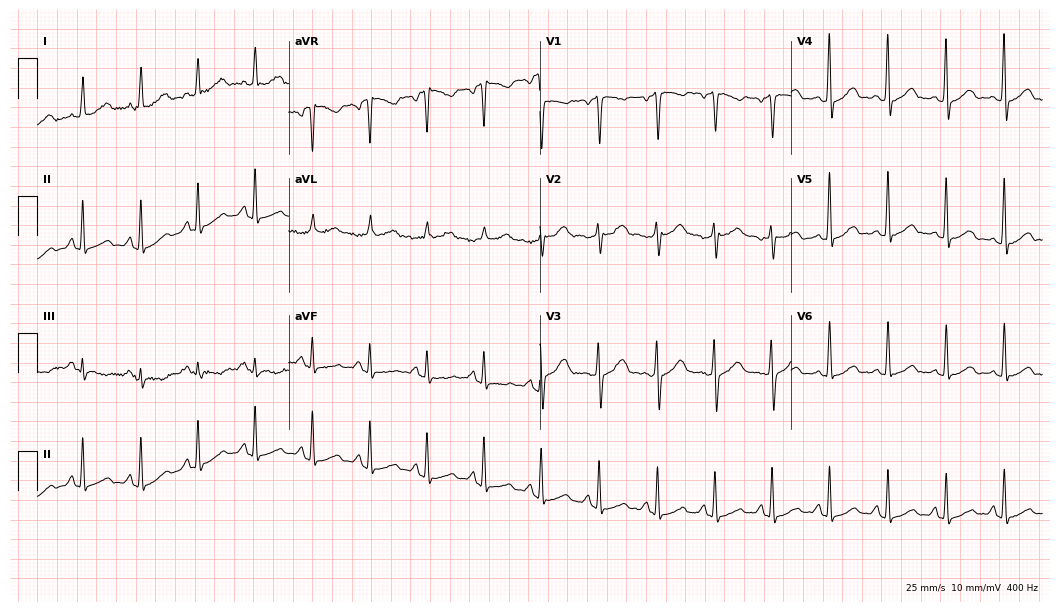
Resting 12-lead electrocardiogram. Patient: a woman, 43 years old. The tracing shows sinus tachycardia (a sinus rate of 100 beats per minute or more).